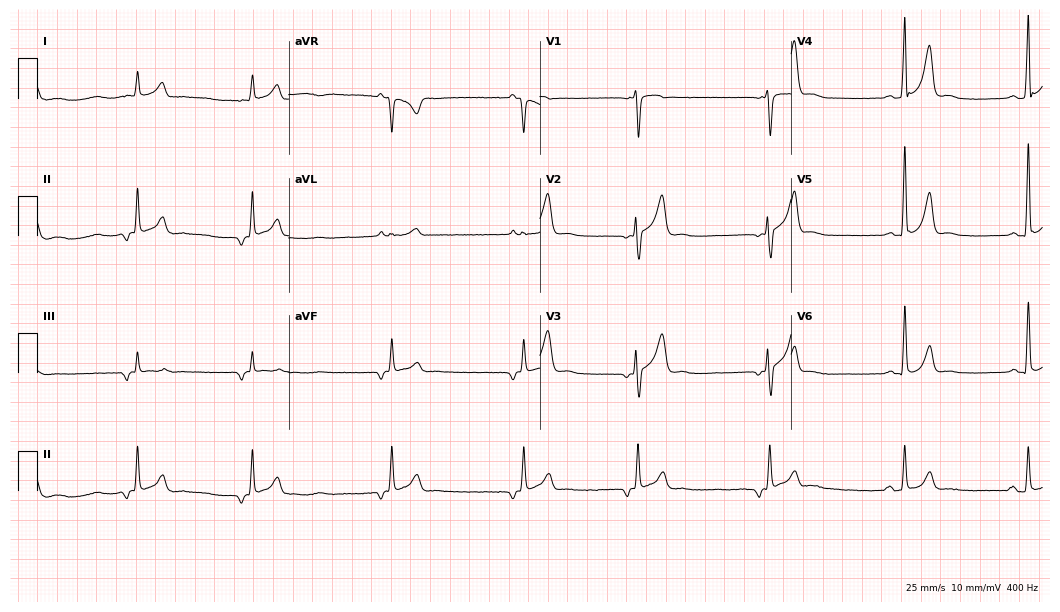
Electrocardiogram, a male patient, 53 years old. Of the six screened findings (first-degree AV block, right bundle branch block, left bundle branch block, sinus bradycardia, atrial fibrillation, sinus tachycardia), none is recorded. Only these six findings were labelled.